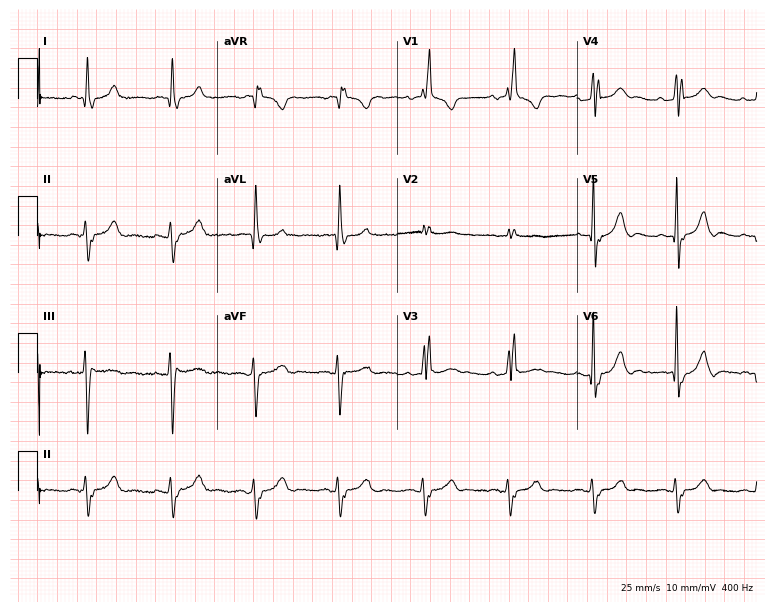
12-lead ECG from a 78-year-old man. Shows right bundle branch block (RBBB).